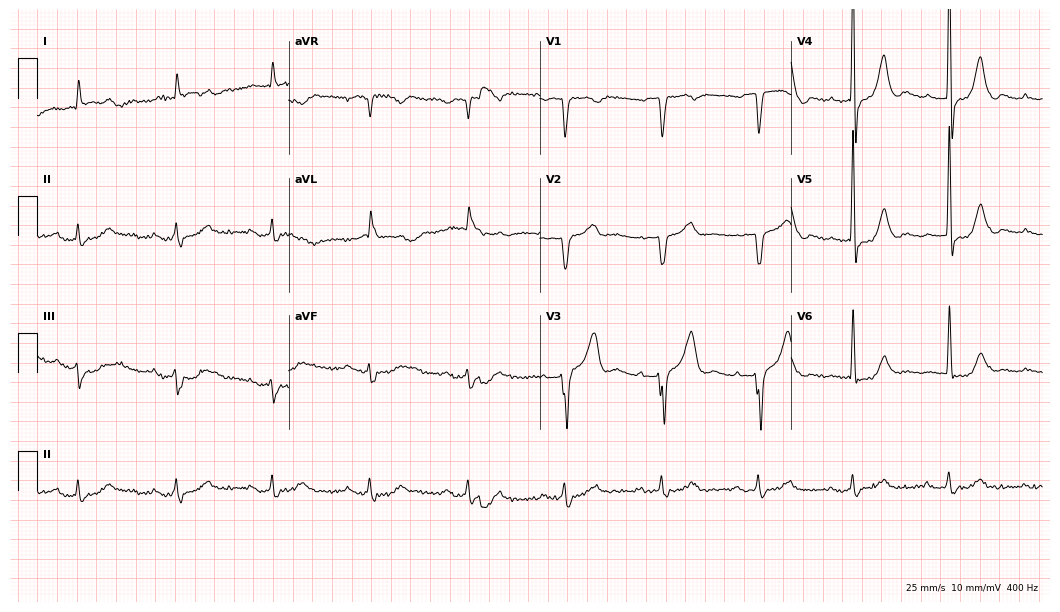
Electrocardiogram, a male patient, 79 years old. Interpretation includes first-degree AV block.